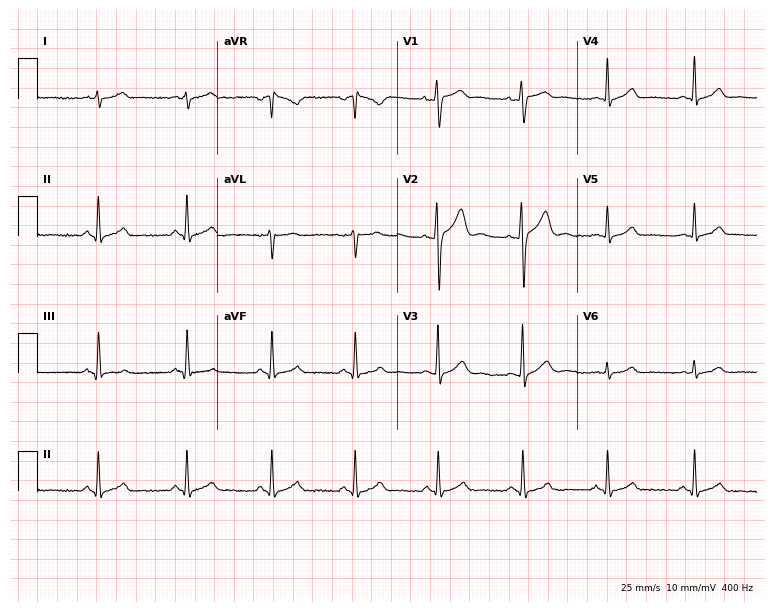
Electrocardiogram (7.3-second recording at 400 Hz), a male, 26 years old. Of the six screened findings (first-degree AV block, right bundle branch block (RBBB), left bundle branch block (LBBB), sinus bradycardia, atrial fibrillation (AF), sinus tachycardia), none is recorded. Findings outside these six are not listed.